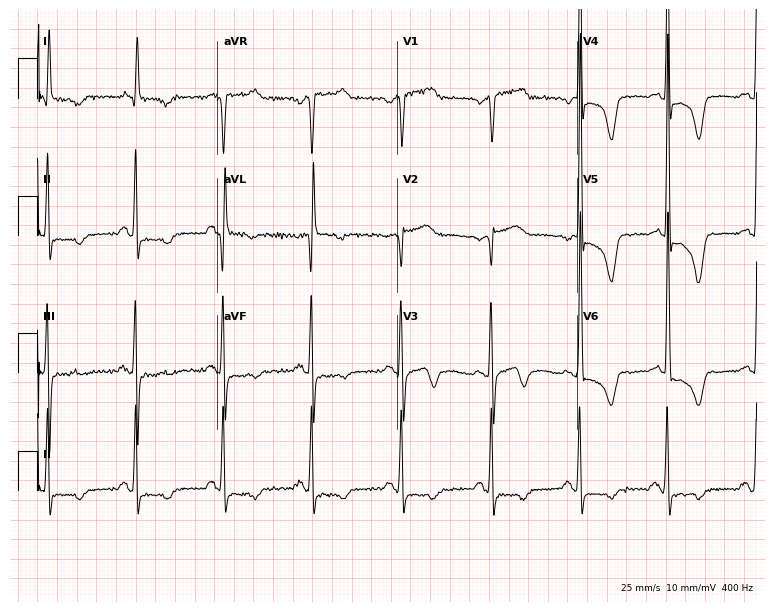
12-lead ECG from an 84-year-old female patient. No first-degree AV block, right bundle branch block, left bundle branch block, sinus bradycardia, atrial fibrillation or sinus tachycardia recorded for this tracing.